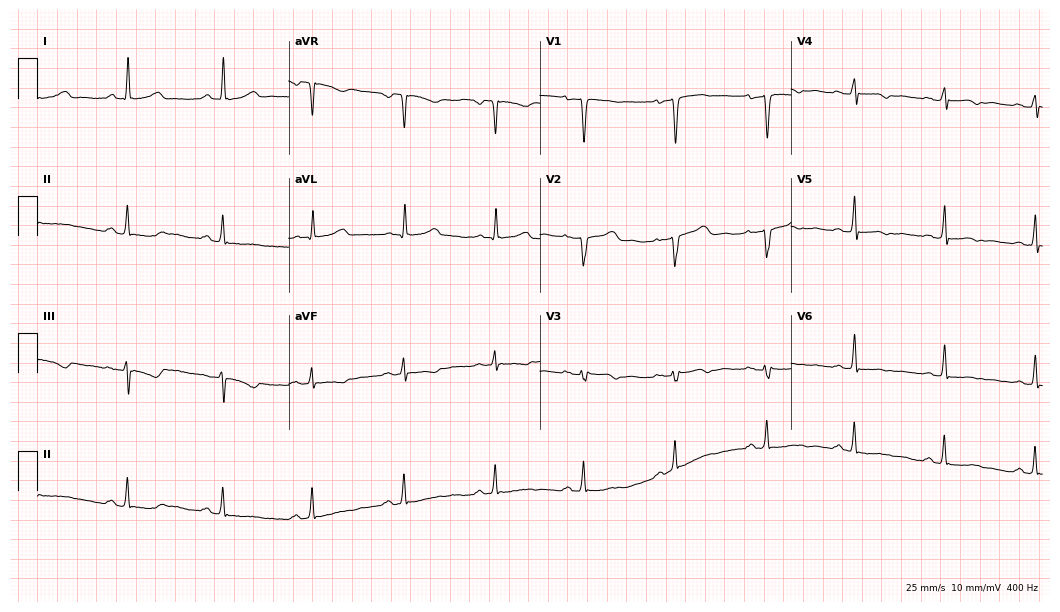
Standard 12-lead ECG recorded from a woman, 56 years old. Read as a normal ECG.